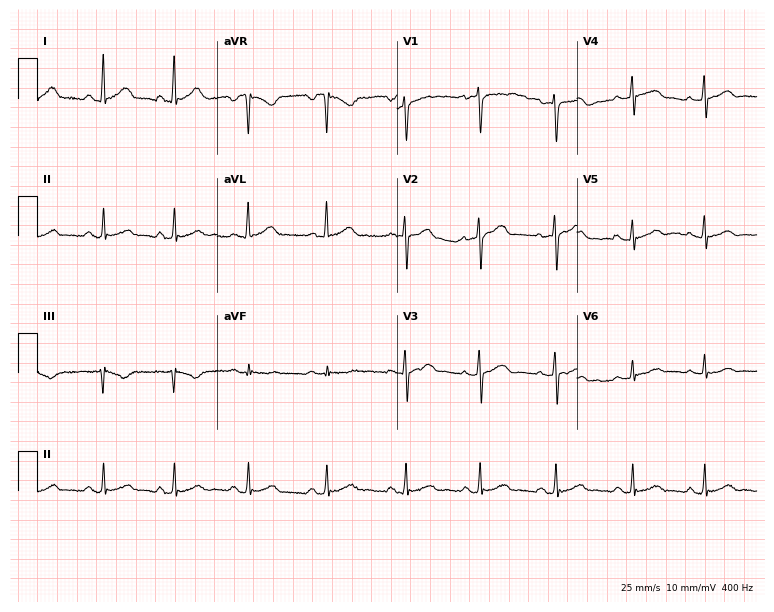
12-lead ECG from a 35-year-old woman. Labelled as a normal ECG.